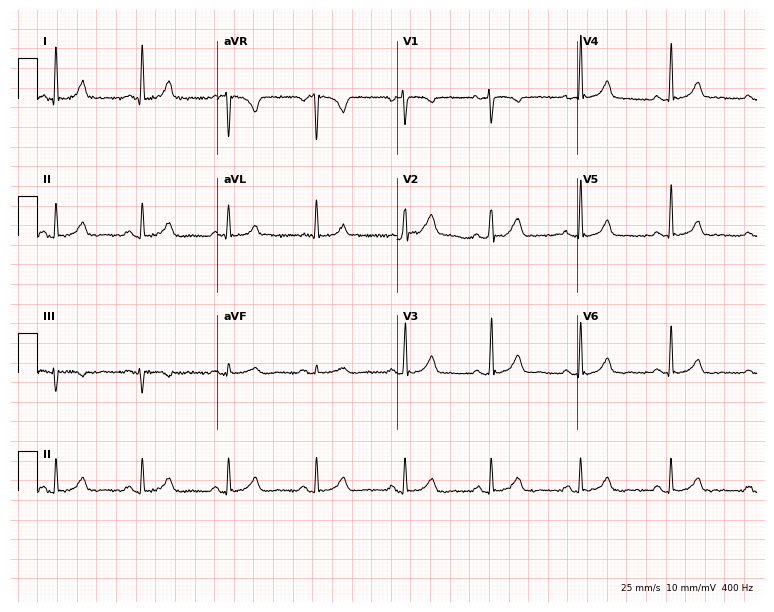
Electrocardiogram, a 47-year-old female patient. Overall reading on record: normal ECG.